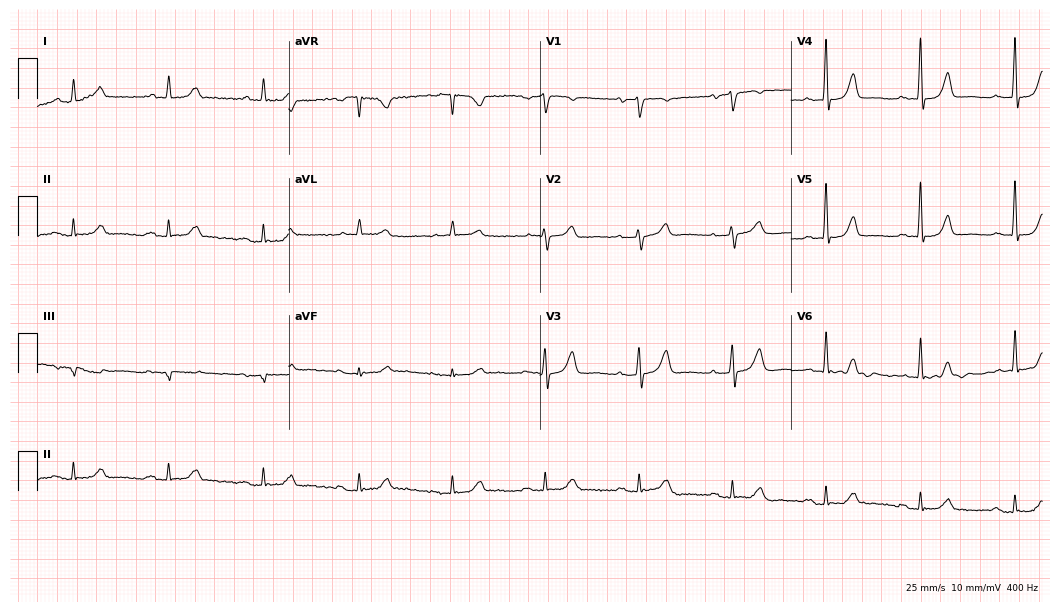
12-lead ECG from a male patient, 74 years old. Recorded interpretation: within normal limits.